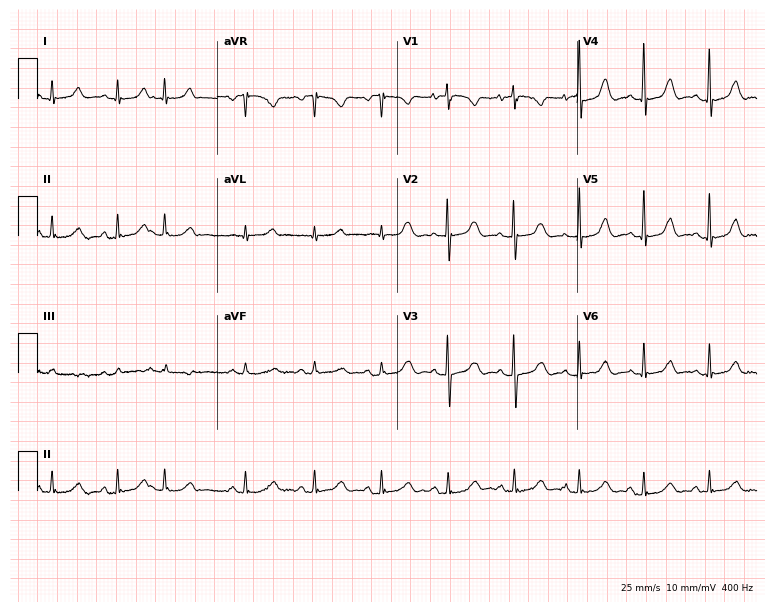
ECG — a 75-year-old woman. Screened for six findings — first-degree AV block, right bundle branch block, left bundle branch block, sinus bradycardia, atrial fibrillation, sinus tachycardia — none is recorded.